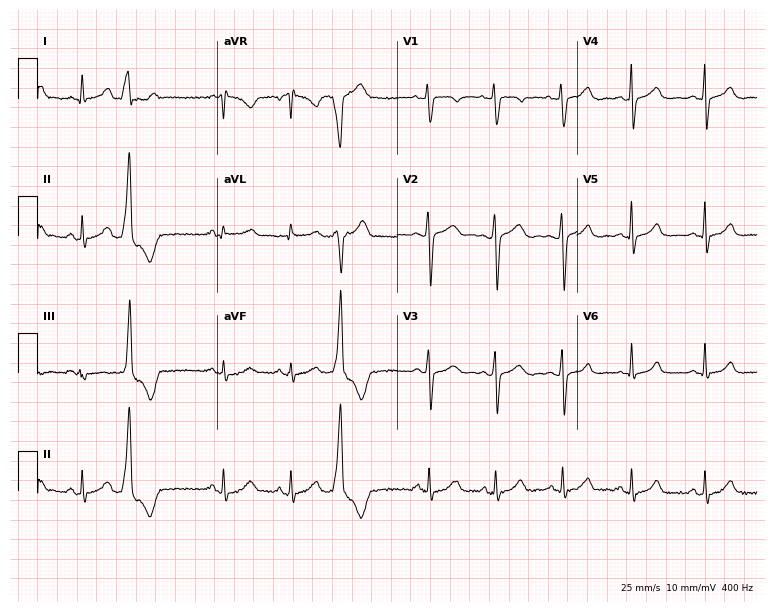
Standard 12-lead ECG recorded from a 44-year-old woman (7.3-second recording at 400 Hz). None of these six findings is recorded: first-degree AV block, right bundle branch block (RBBB), left bundle branch block (LBBB), sinus bradycardia, atrial fibrillation (AF), sinus tachycardia.